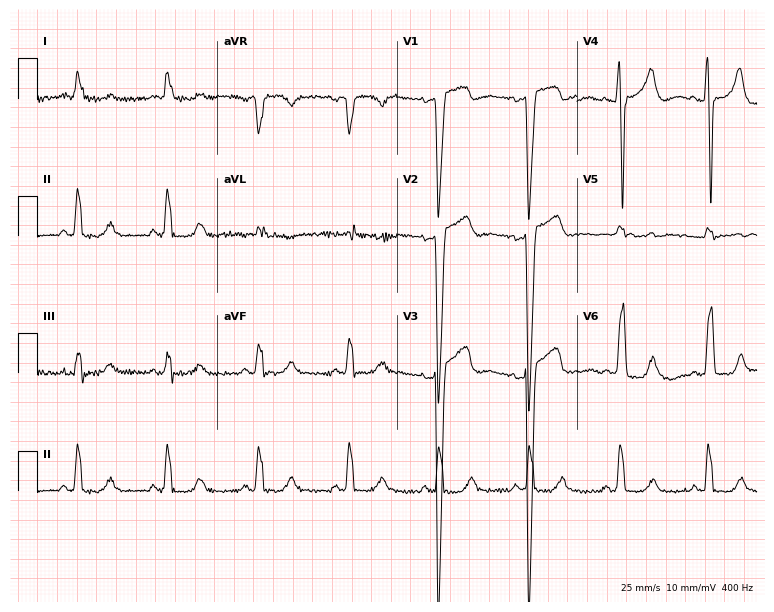
ECG (7.3-second recording at 400 Hz) — a woman, 57 years old. Findings include left bundle branch block.